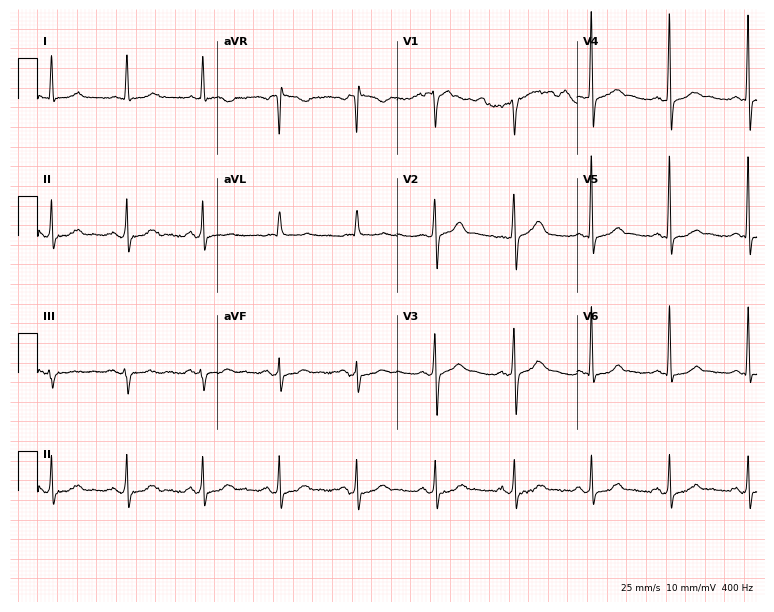
12-lead ECG from a 72-year-old female patient. Recorded interpretation: within normal limits.